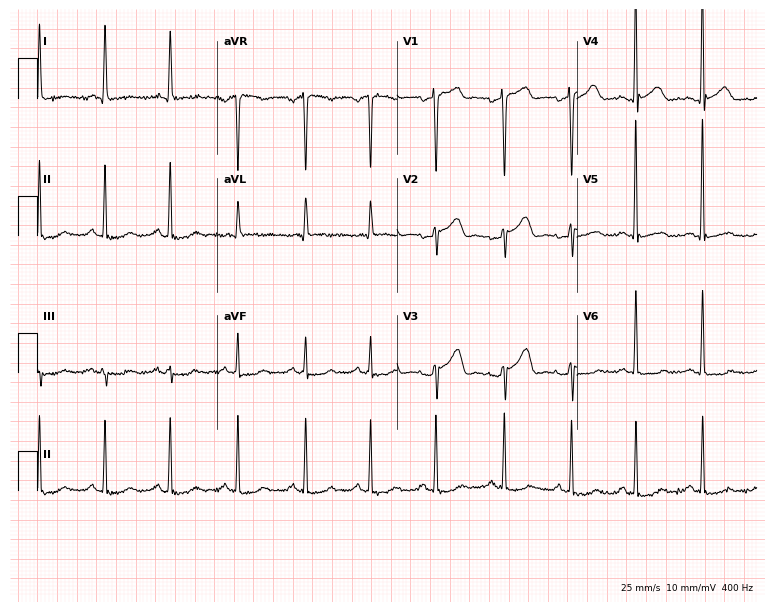
12-lead ECG (7.3-second recording at 400 Hz) from a woman, 51 years old. Screened for six findings — first-degree AV block, right bundle branch block, left bundle branch block, sinus bradycardia, atrial fibrillation, sinus tachycardia — none is recorded. Other findings, if any, are not listed.